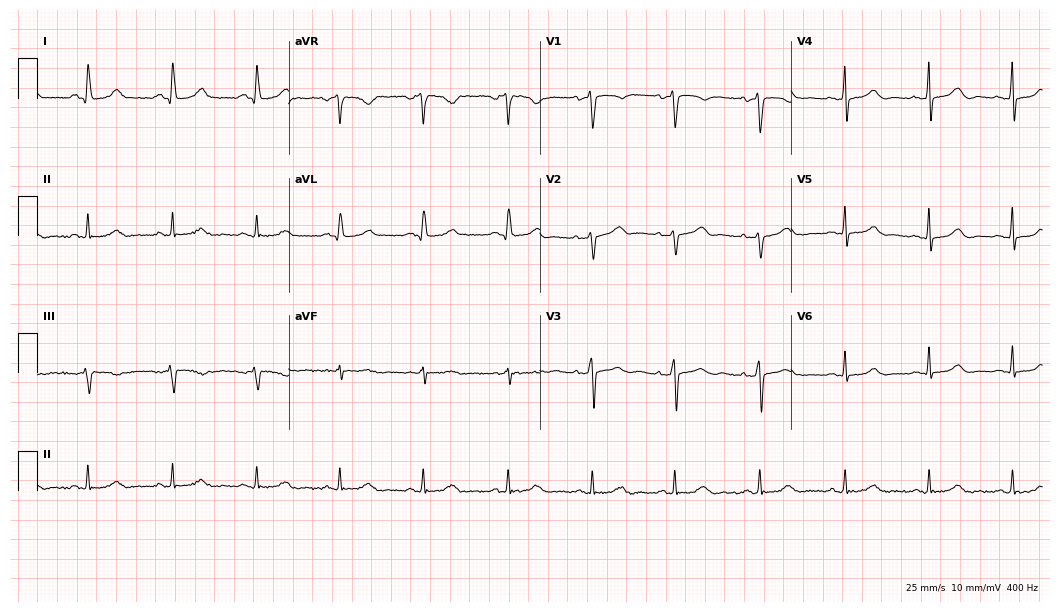
Standard 12-lead ECG recorded from a 48-year-old female. Read as a normal ECG.